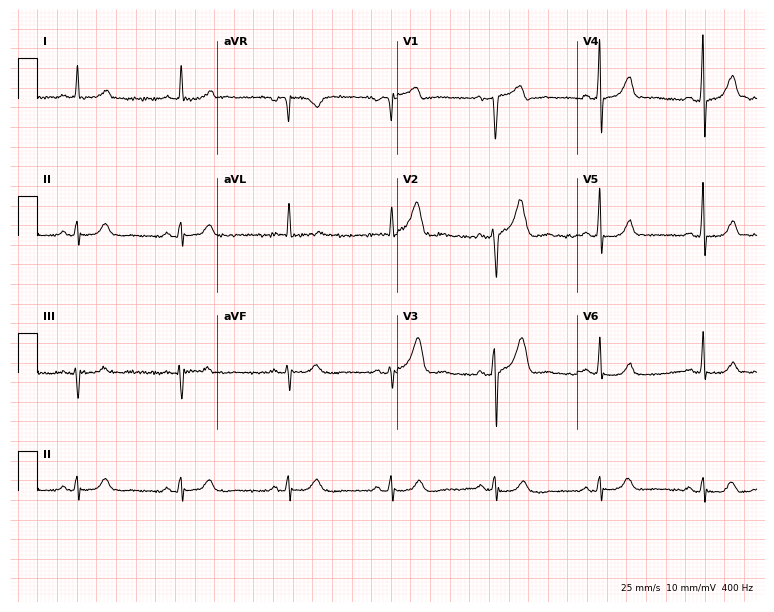
Electrocardiogram, a male, 68 years old. Of the six screened findings (first-degree AV block, right bundle branch block, left bundle branch block, sinus bradycardia, atrial fibrillation, sinus tachycardia), none is recorded. Only these six findings were labelled.